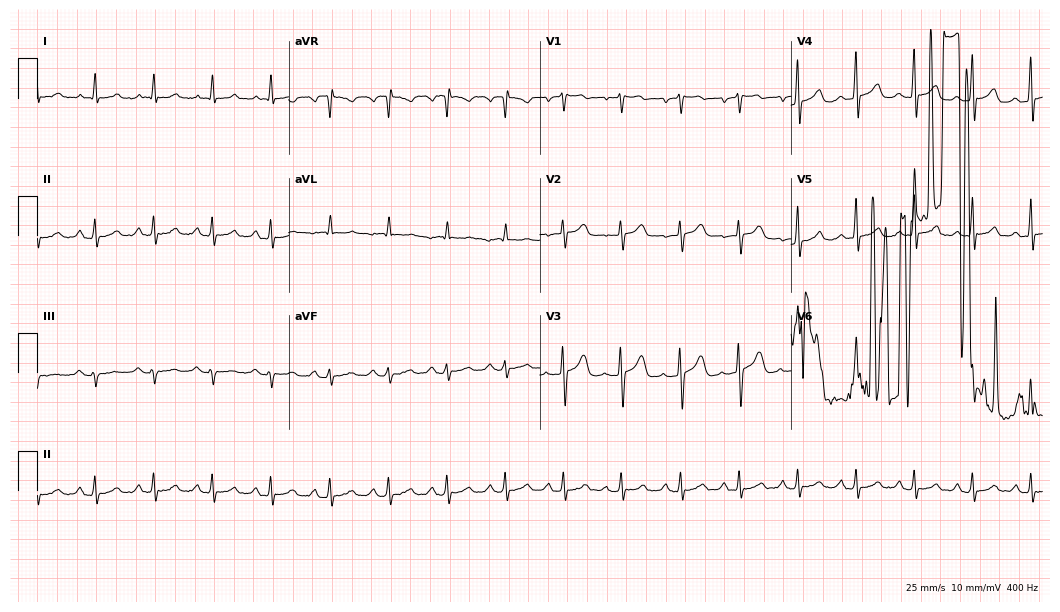
Resting 12-lead electrocardiogram (10.2-second recording at 400 Hz). Patient: a 51-year-old male. None of these six findings is recorded: first-degree AV block, right bundle branch block (RBBB), left bundle branch block (LBBB), sinus bradycardia, atrial fibrillation (AF), sinus tachycardia.